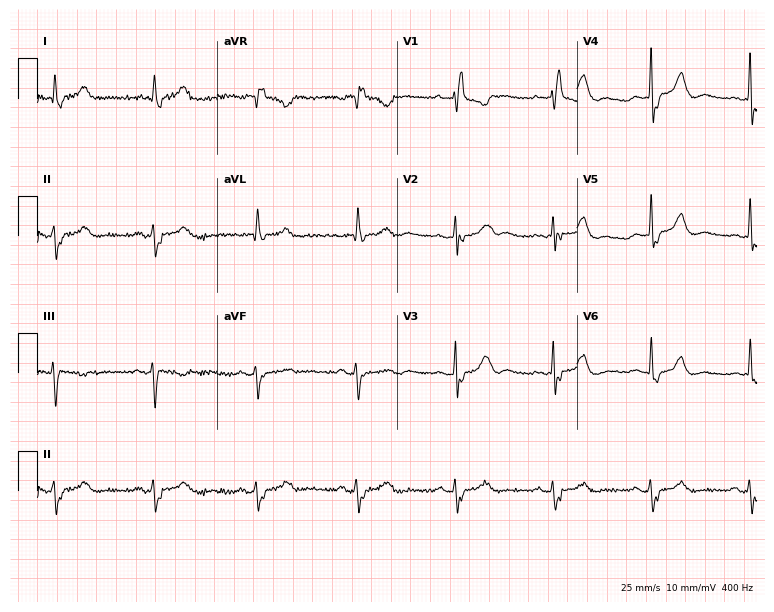
Resting 12-lead electrocardiogram (7.3-second recording at 400 Hz). Patient: a woman, 78 years old. The tracing shows right bundle branch block.